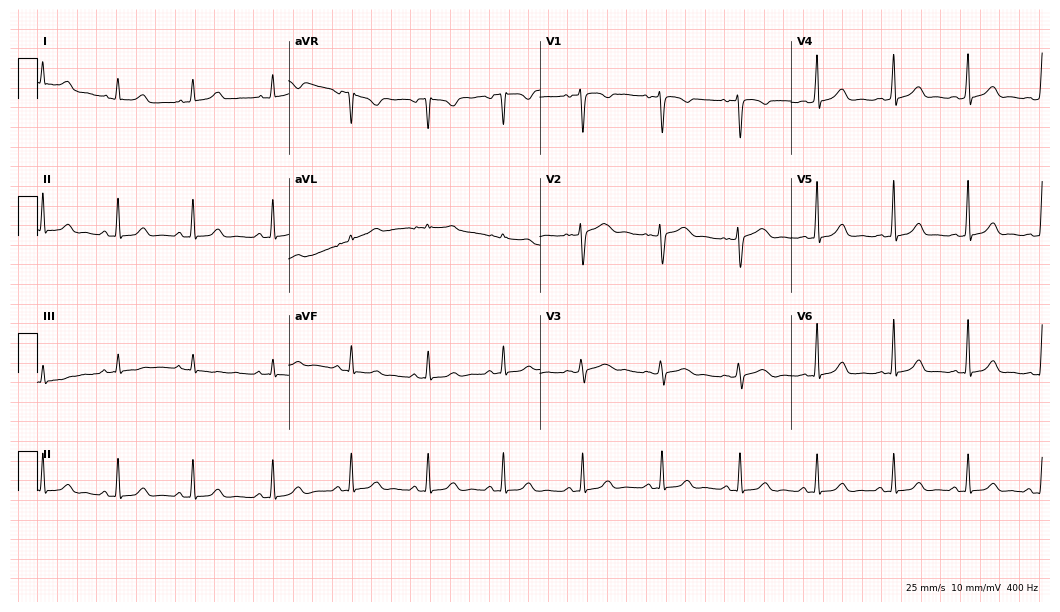
Standard 12-lead ECG recorded from a 23-year-old woman (10.2-second recording at 400 Hz). Read as a normal ECG.